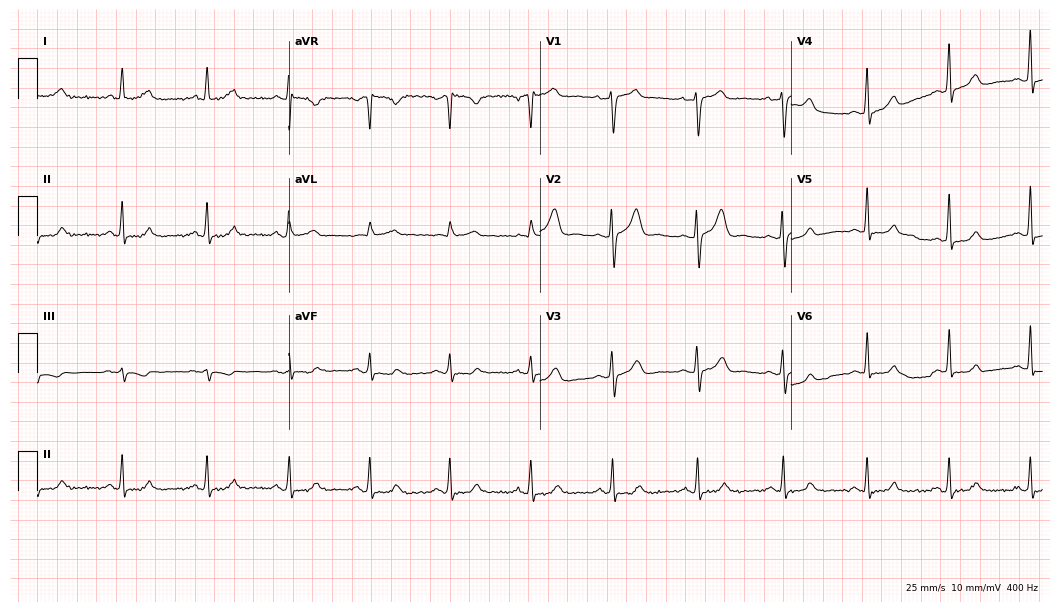
ECG — a 65-year-old female patient. Labelled as a normal ECG.